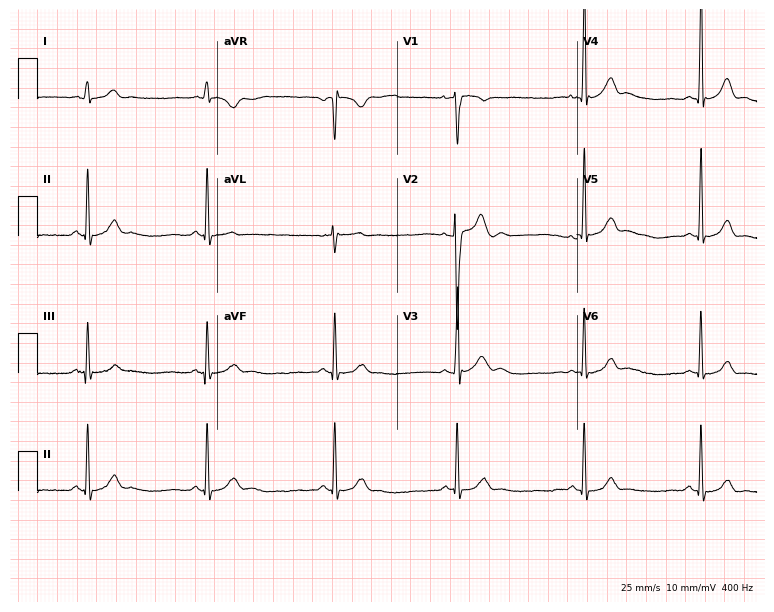
12-lead ECG from an 18-year-old man (7.3-second recording at 400 Hz). Shows sinus bradycardia (a sinus rate of 50 beats per minute or less).